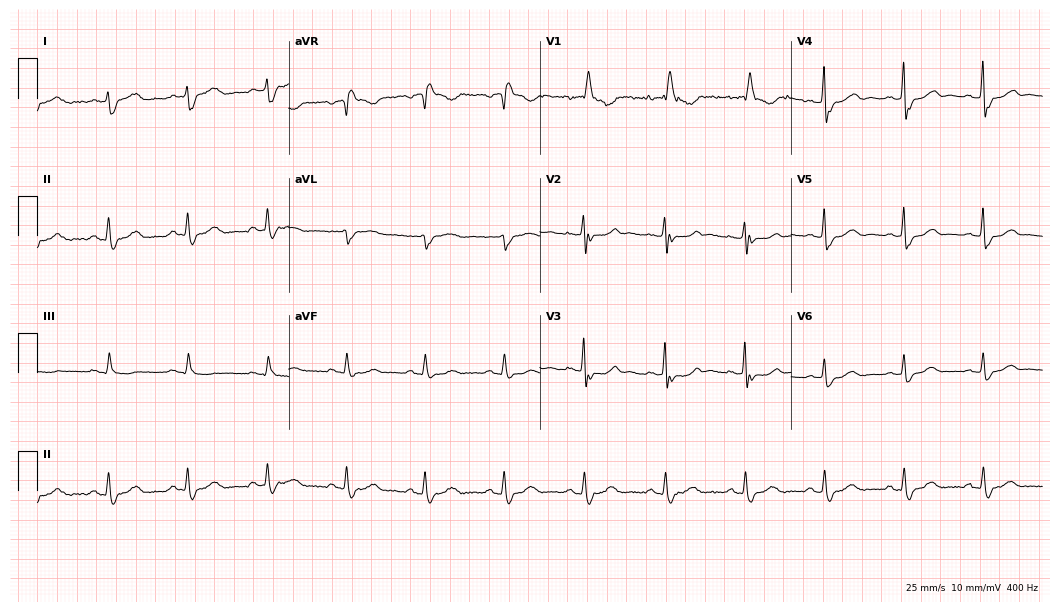
Standard 12-lead ECG recorded from a 71-year-old female patient (10.2-second recording at 400 Hz). The tracing shows right bundle branch block.